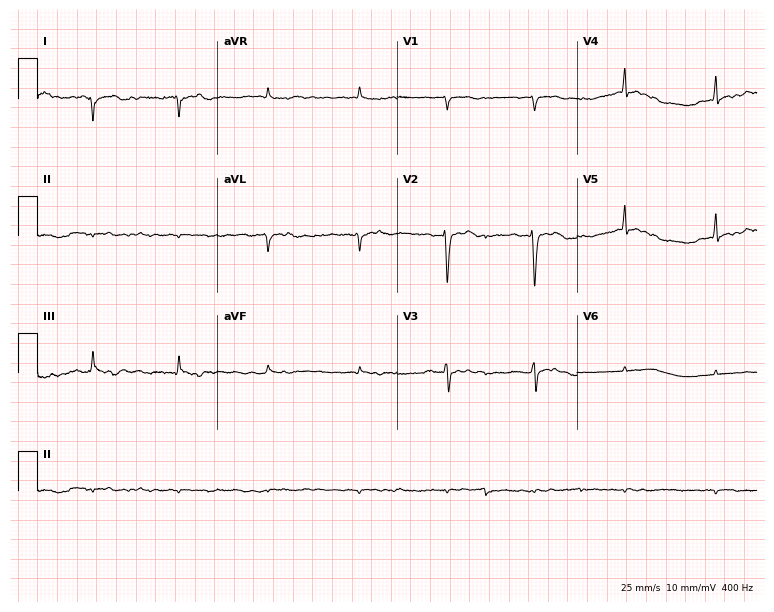
Standard 12-lead ECG recorded from a 51-year-old female (7.3-second recording at 400 Hz). None of these six findings is recorded: first-degree AV block, right bundle branch block, left bundle branch block, sinus bradycardia, atrial fibrillation, sinus tachycardia.